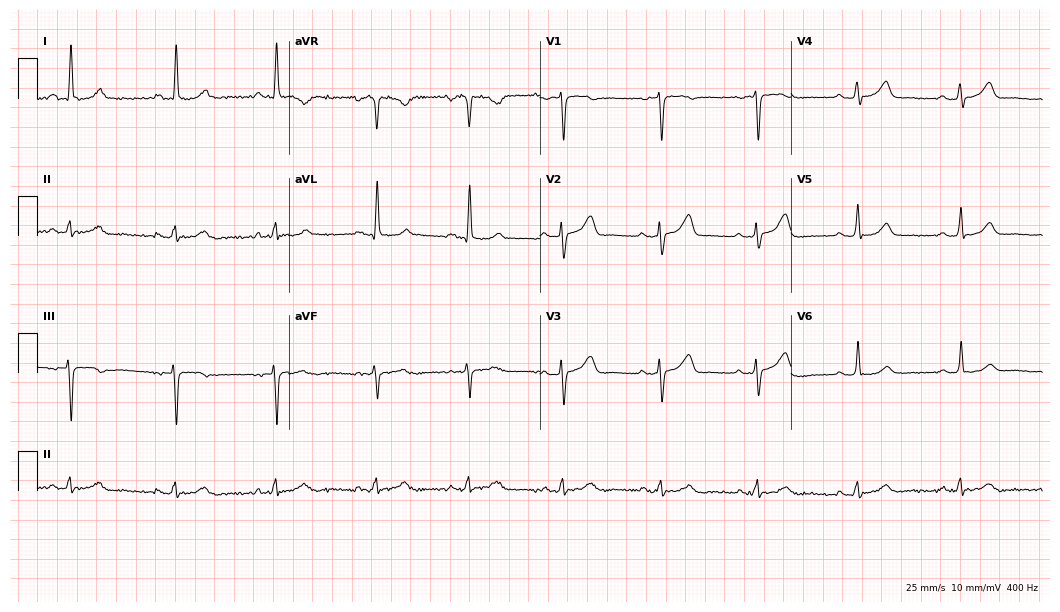
ECG — a 56-year-old female. Labelled as a normal ECG.